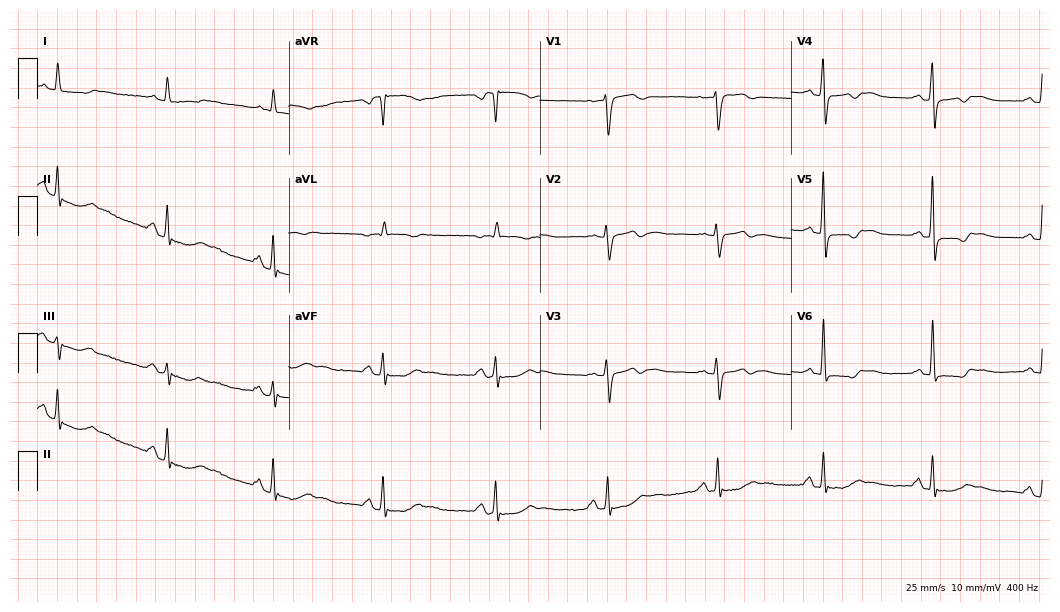
Electrocardiogram, a woman, 66 years old. Of the six screened findings (first-degree AV block, right bundle branch block, left bundle branch block, sinus bradycardia, atrial fibrillation, sinus tachycardia), none is recorded.